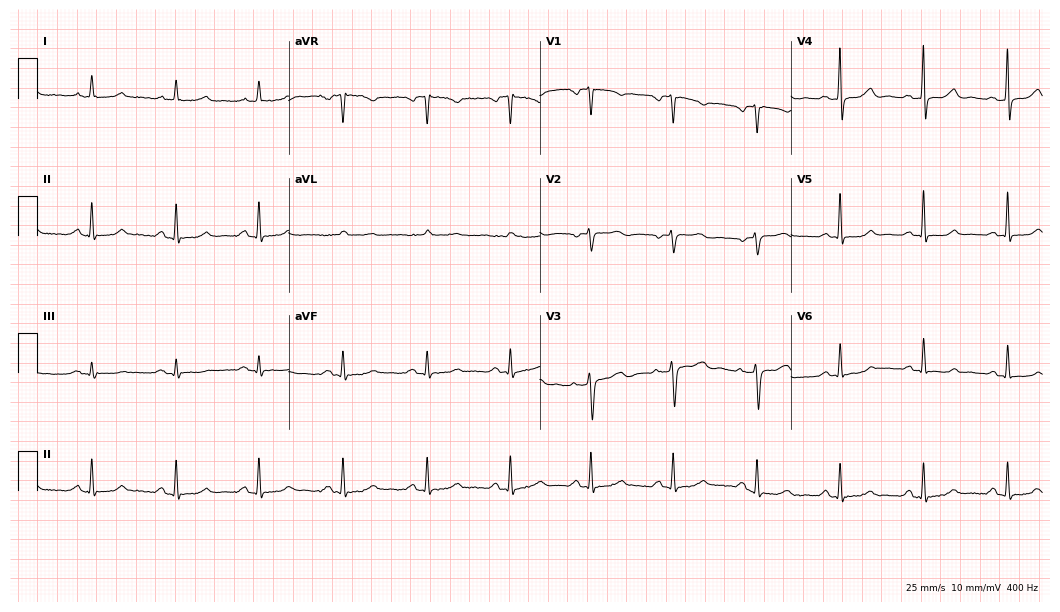
ECG — a female, 39 years old. Labelled as a normal ECG.